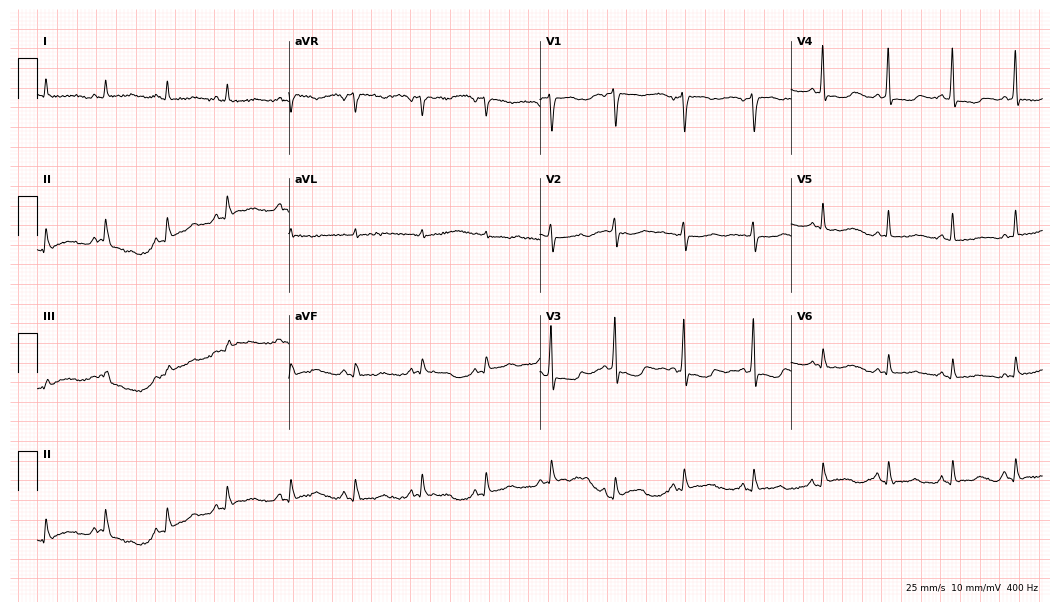
12-lead ECG from a female patient, 63 years old. No first-degree AV block, right bundle branch block (RBBB), left bundle branch block (LBBB), sinus bradycardia, atrial fibrillation (AF) or sinus tachycardia recorded for this tracing.